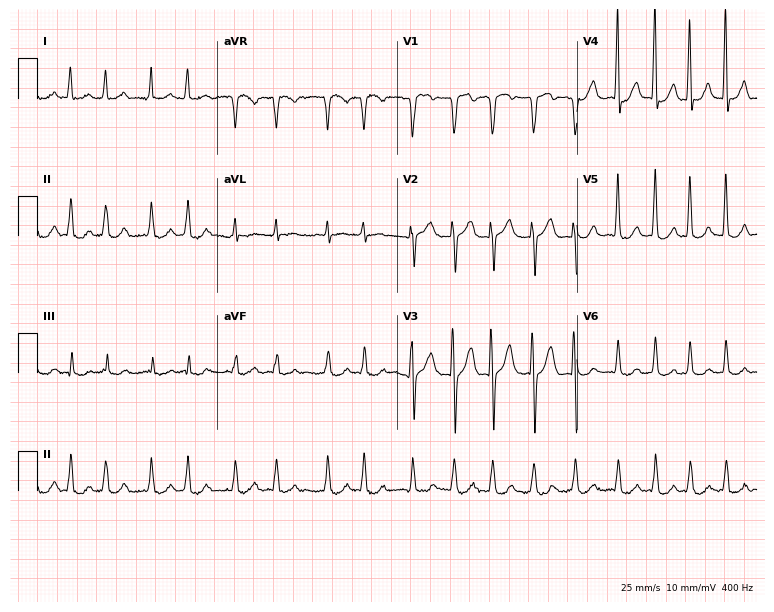
12-lead ECG (7.3-second recording at 400 Hz) from a male, 85 years old. Findings include atrial fibrillation.